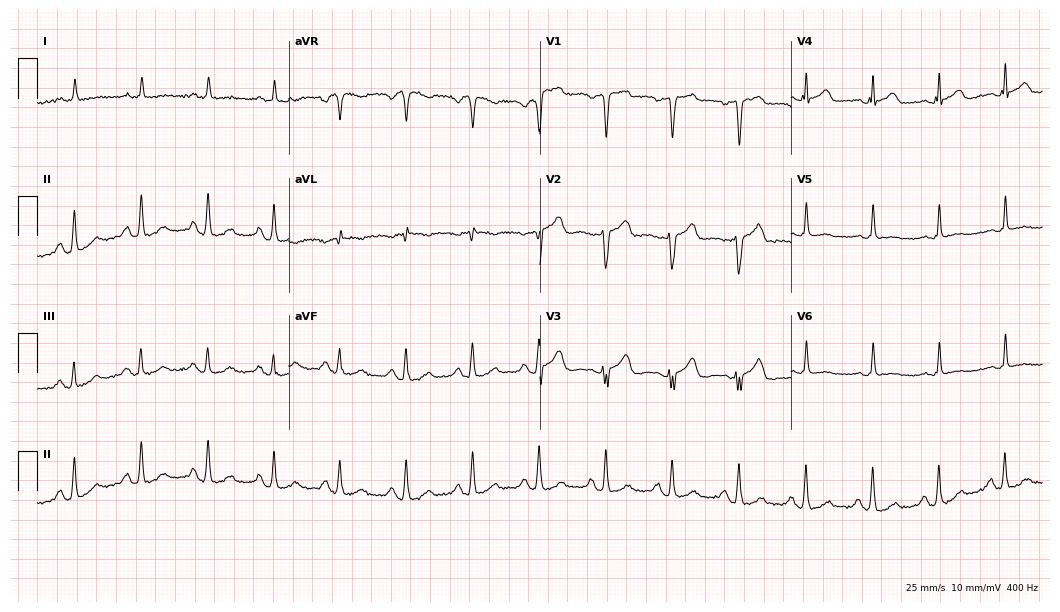
12-lead ECG from a 69-year-old male. No first-degree AV block, right bundle branch block, left bundle branch block, sinus bradycardia, atrial fibrillation or sinus tachycardia recorded for this tracing. Findings outside these six are not listed.